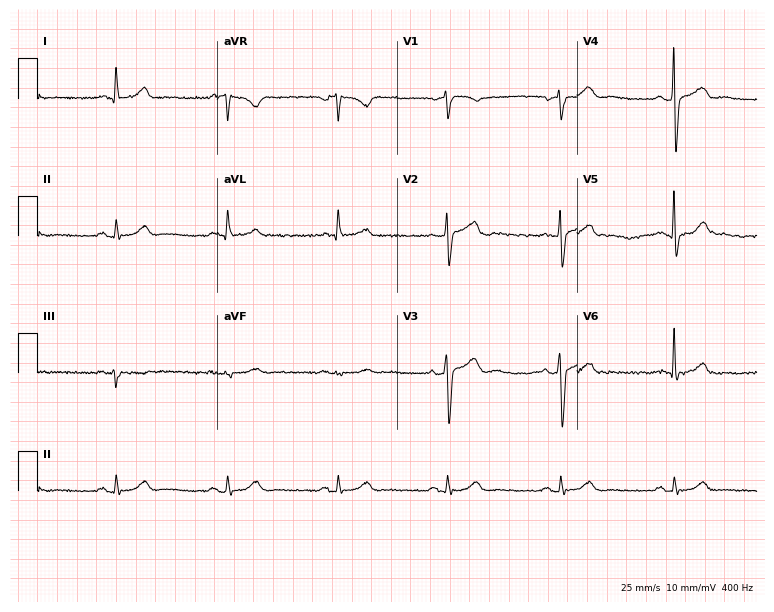
Standard 12-lead ECG recorded from a male, 58 years old (7.3-second recording at 400 Hz). None of these six findings is recorded: first-degree AV block, right bundle branch block (RBBB), left bundle branch block (LBBB), sinus bradycardia, atrial fibrillation (AF), sinus tachycardia.